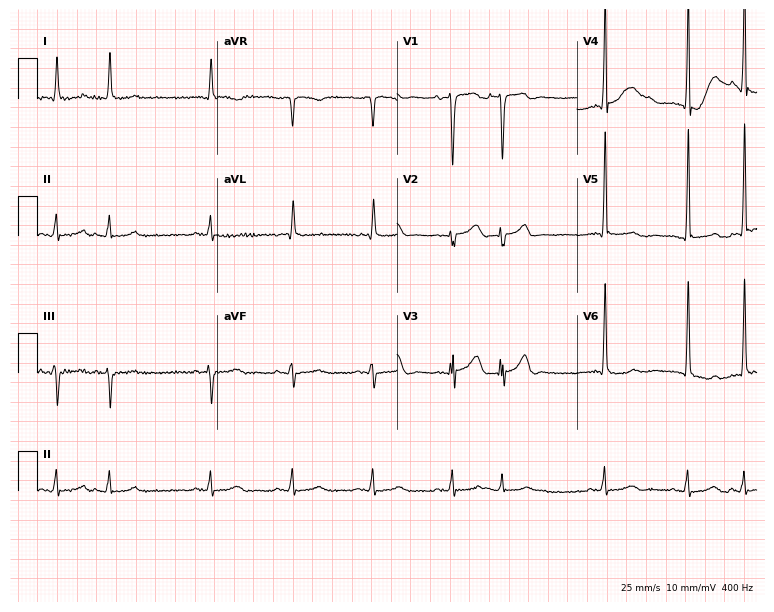
Standard 12-lead ECG recorded from a man, 74 years old (7.3-second recording at 400 Hz). None of these six findings is recorded: first-degree AV block, right bundle branch block (RBBB), left bundle branch block (LBBB), sinus bradycardia, atrial fibrillation (AF), sinus tachycardia.